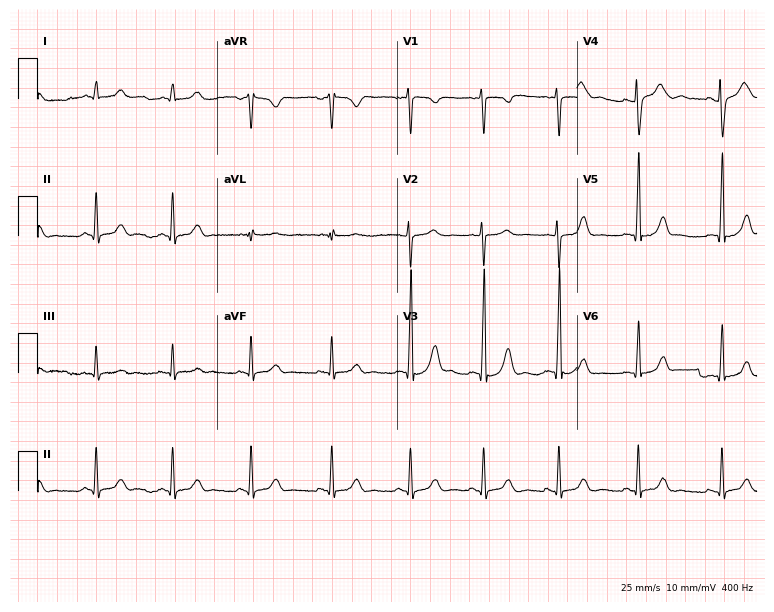
ECG — a 19-year-old female patient. Labelled as a normal ECG.